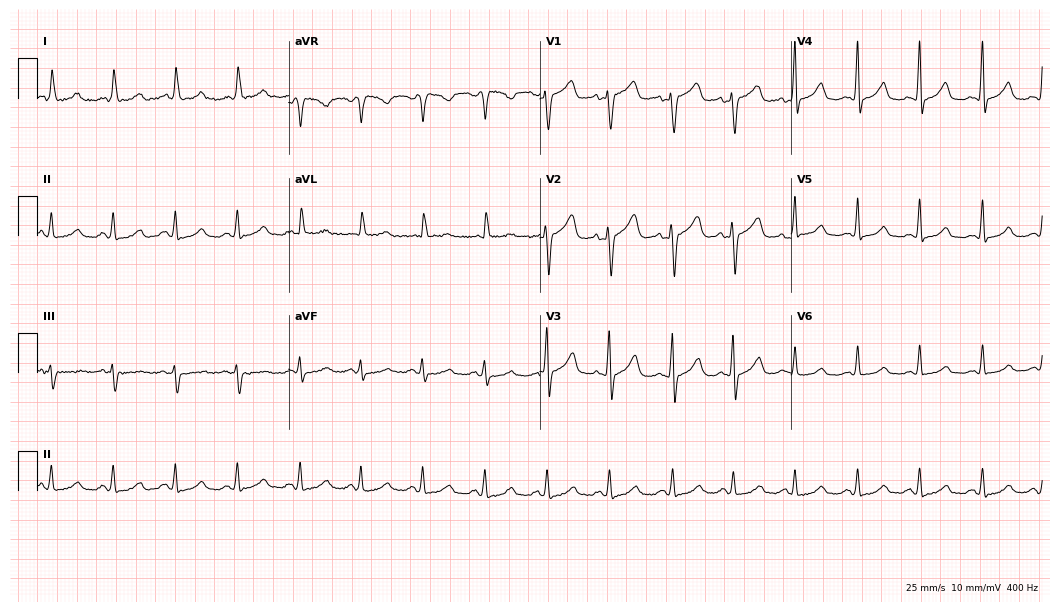
12-lead ECG from a female, 51 years old (10.2-second recording at 400 Hz). Recorded interpretation: within normal limits.